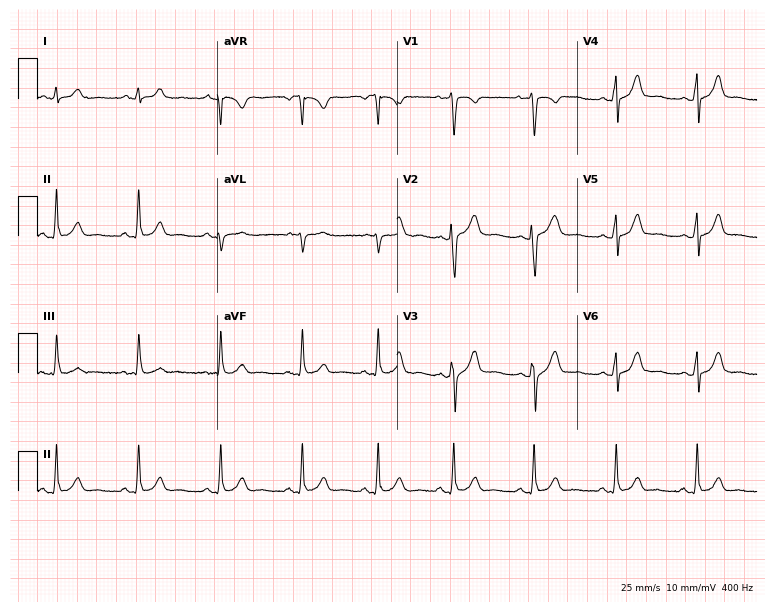
Electrocardiogram (7.3-second recording at 400 Hz), a 17-year-old female patient. Of the six screened findings (first-degree AV block, right bundle branch block, left bundle branch block, sinus bradycardia, atrial fibrillation, sinus tachycardia), none is recorded.